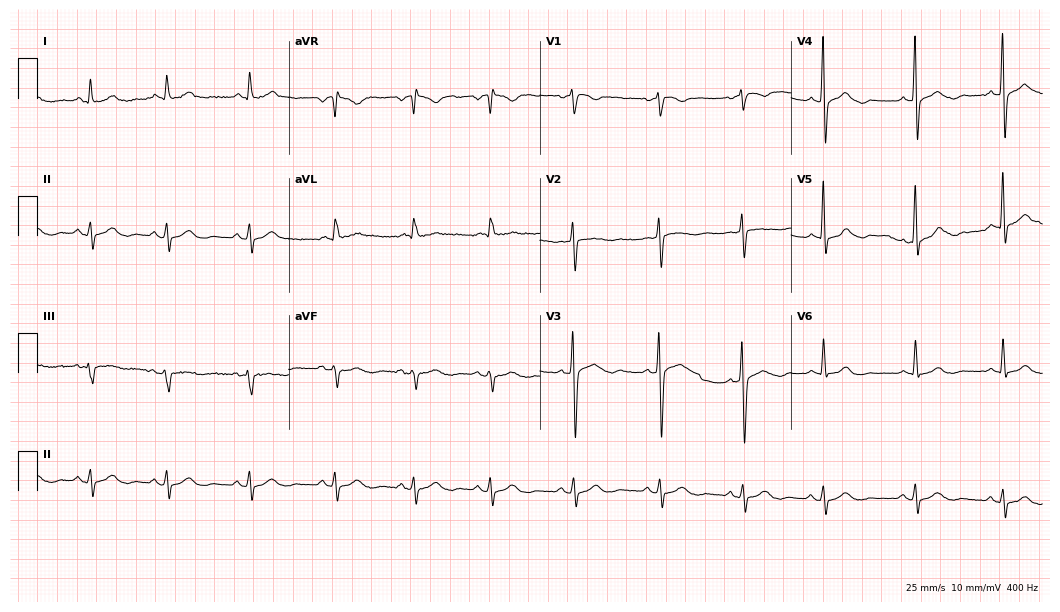
Standard 12-lead ECG recorded from a female patient, 62 years old. None of these six findings is recorded: first-degree AV block, right bundle branch block (RBBB), left bundle branch block (LBBB), sinus bradycardia, atrial fibrillation (AF), sinus tachycardia. Other findings, if any, are not listed.